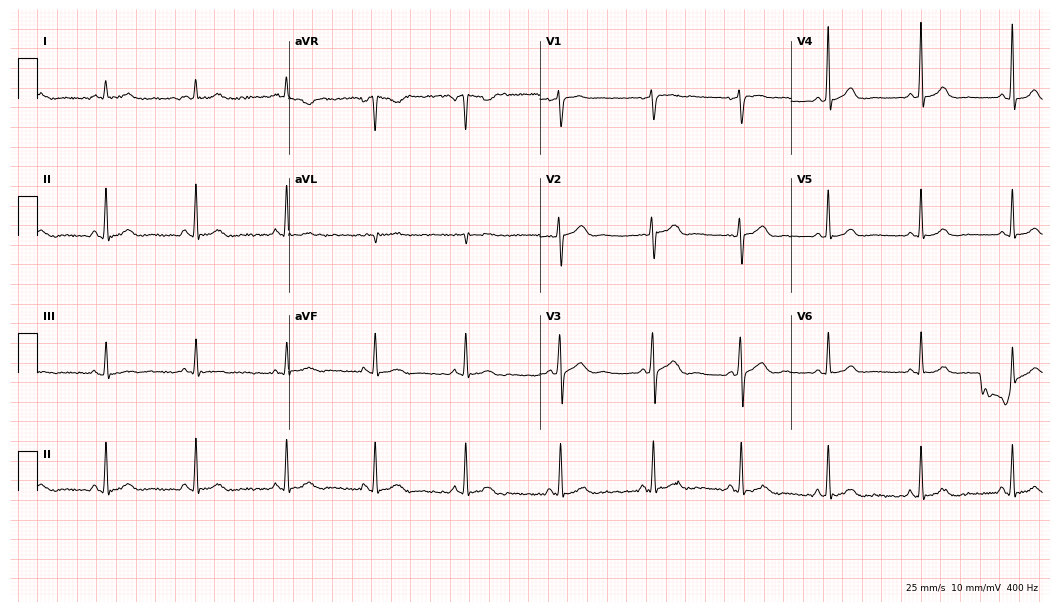
12-lead ECG from a woman, 31 years old. Screened for six findings — first-degree AV block, right bundle branch block, left bundle branch block, sinus bradycardia, atrial fibrillation, sinus tachycardia — none is recorded.